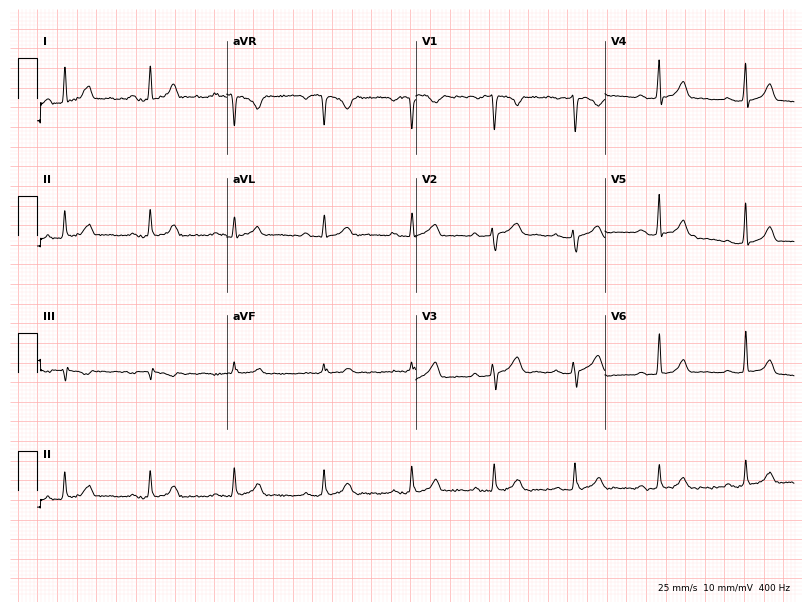
Electrocardiogram (7.7-second recording at 400 Hz), a woman, 44 years old. Of the six screened findings (first-degree AV block, right bundle branch block (RBBB), left bundle branch block (LBBB), sinus bradycardia, atrial fibrillation (AF), sinus tachycardia), none is recorded.